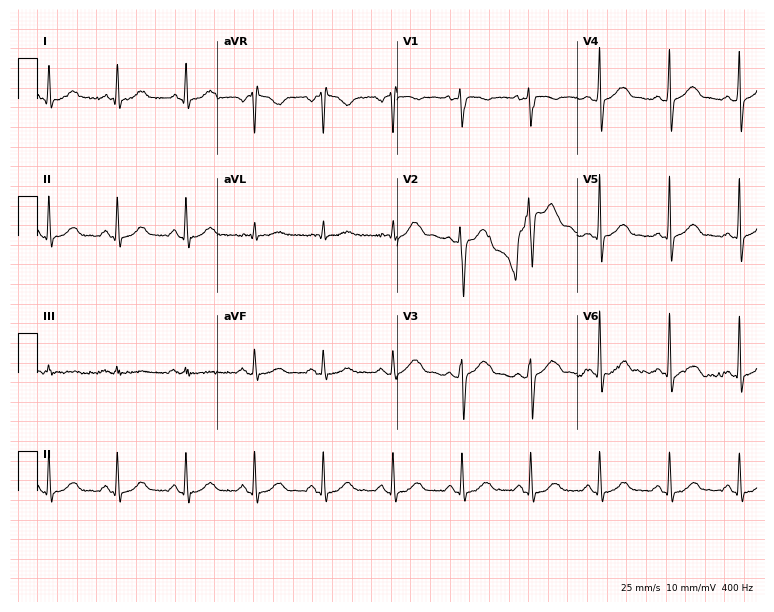
Resting 12-lead electrocardiogram (7.3-second recording at 400 Hz). Patient: a man, 56 years old. Read as a normal ECG.